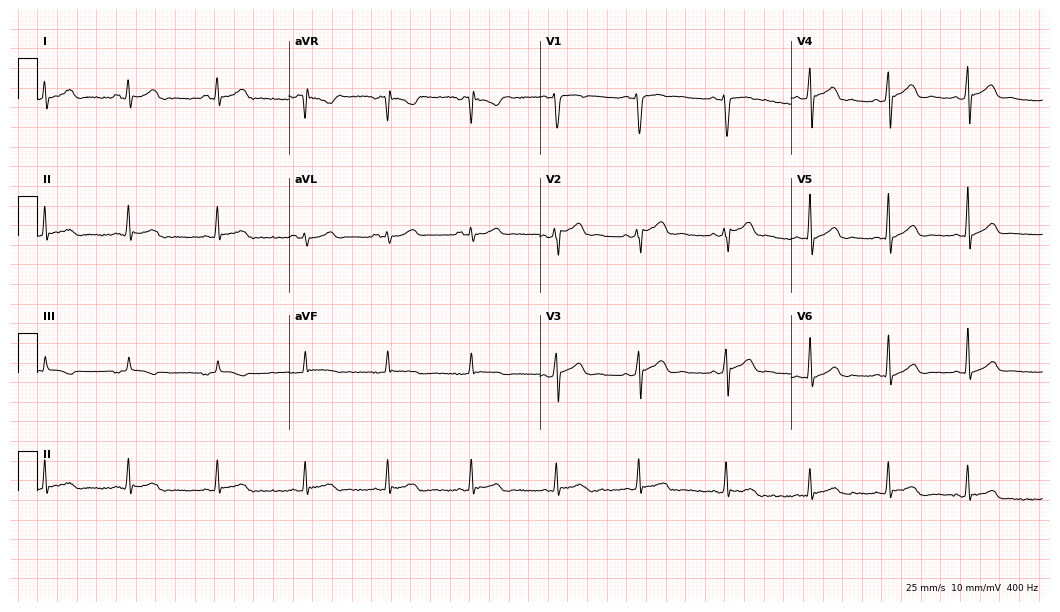
Standard 12-lead ECG recorded from a male patient, 19 years old. None of these six findings is recorded: first-degree AV block, right bundle branch block, left bundle branch block, sinus bradycardia, atrial fibrillation, sinus tachycardia. Other findings, if any, are not listed.